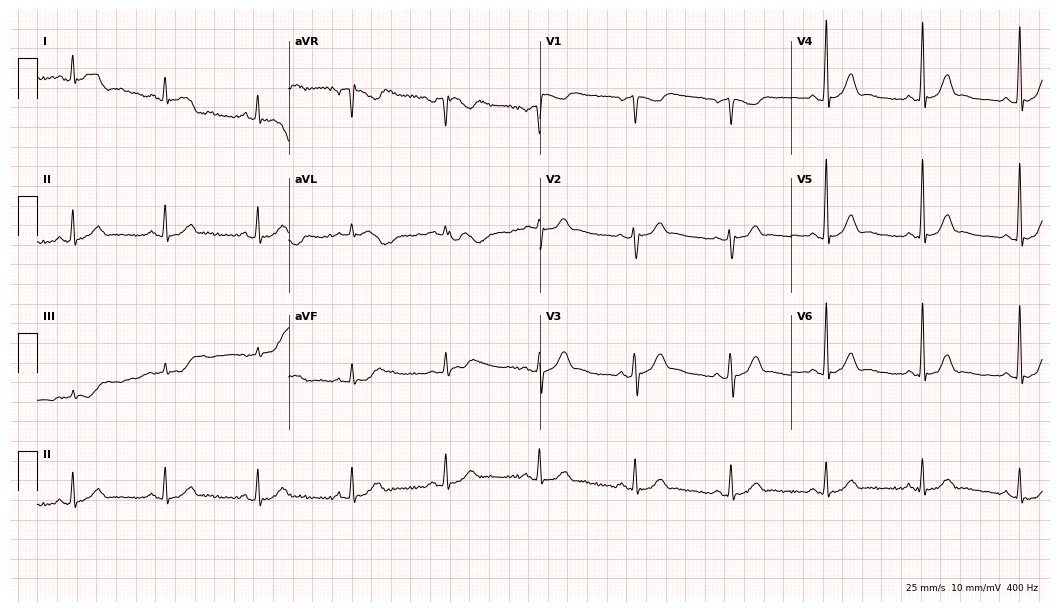
Resting 12-lead electrocardiogram (10.2-second recording at 400 Hz). Patient: a 49-year-old man. Read as a normal ECG.